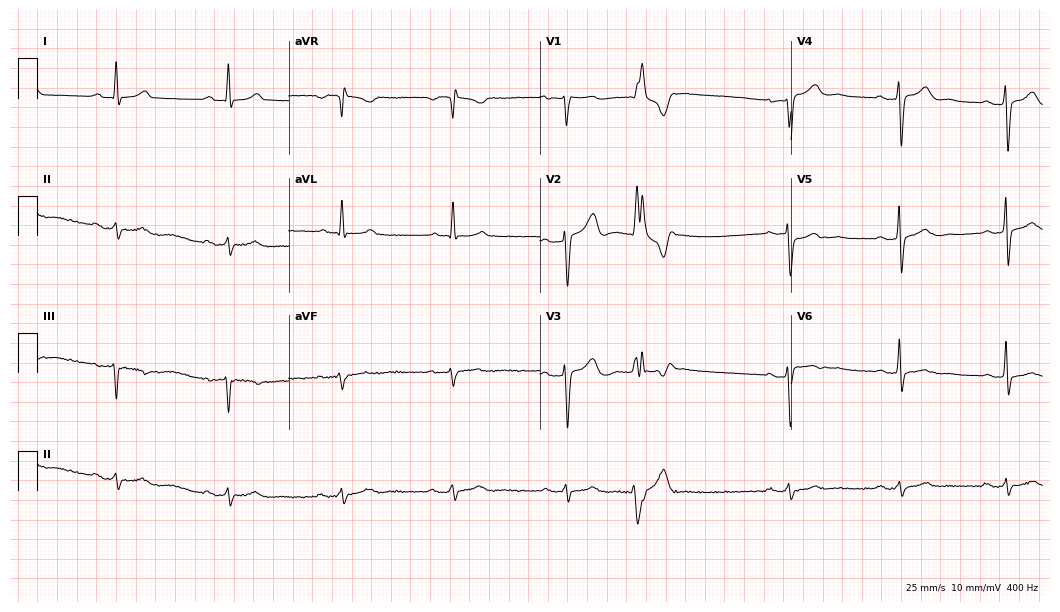
ECG — a male, 45 years old. Screened for six findings — first-degree AV block, right bundle branch block, left bundle branch block, sinus bradycardia, atrial fibrillation, sinus tachycardia — none is recorded. Only these six findings were labelled.